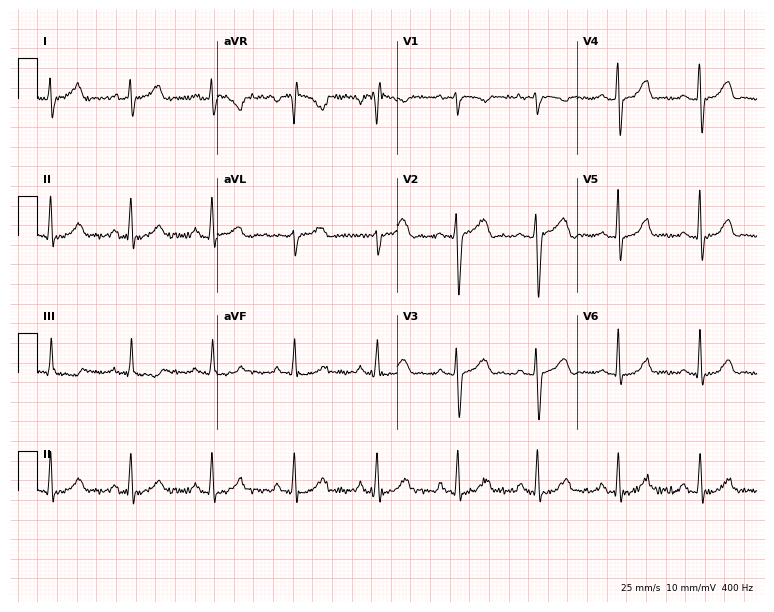
Electrocardiogram, a female patient, 37 years old. Overall reading on record: normal ECG.